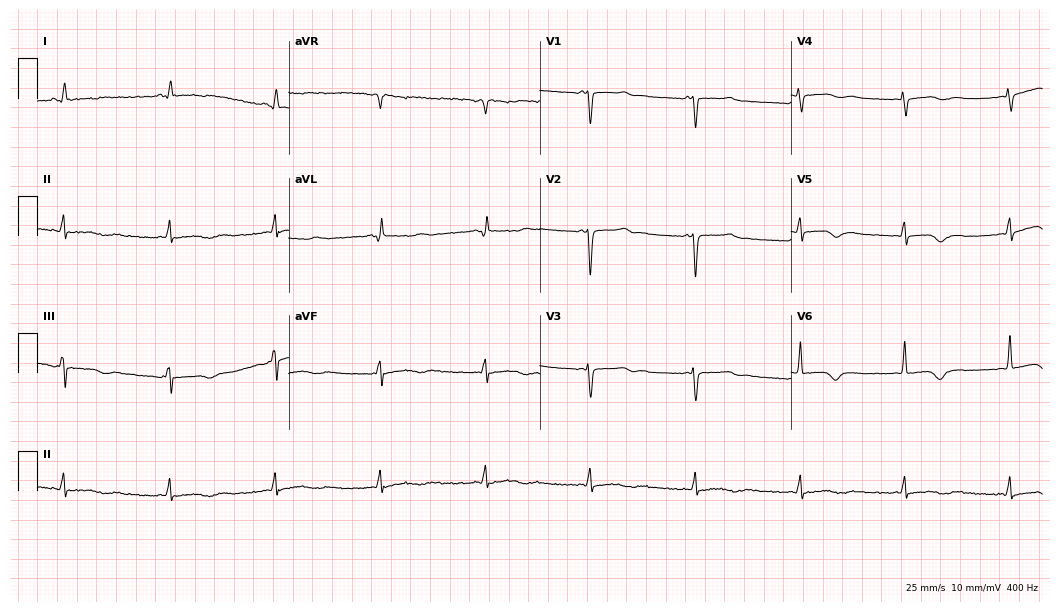
12-lead ECG from a 52-year-old female. No first-degree AV block, right bundle branch block (RBBB), left bundle branch block (LBBB), sinus bradycardia, atrial fibrillation (AF) or sinus tachycardia recorded for this tracing. Other findings, if any, are not listed.